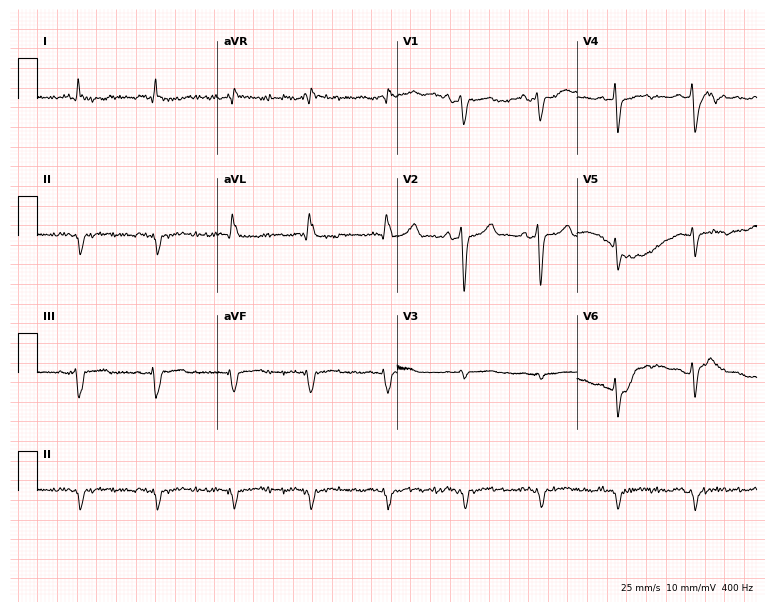
Resting 12-lead electrocardiogram (7.3-second recording at 400 Hz). Patient: a 68-year-old man. The tracing shows left bundle branch block.